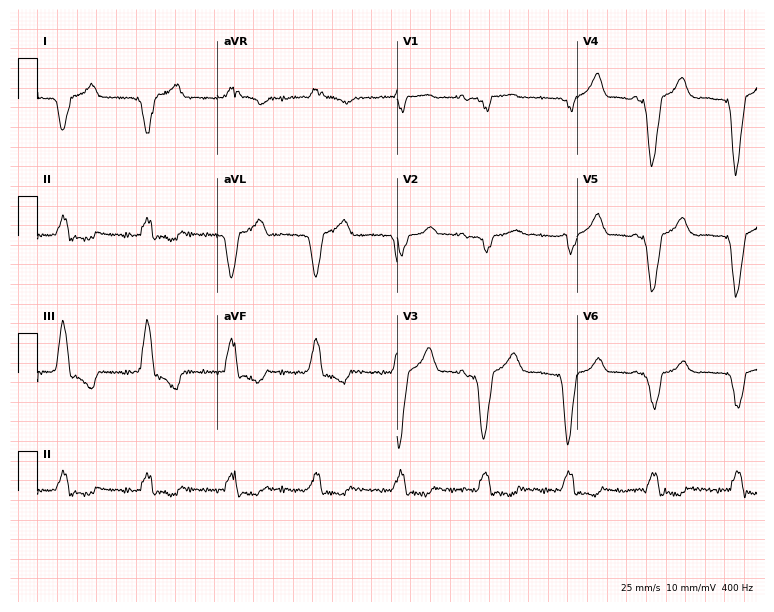
12-lead ECG from a 66-year-old man (7.3-second recording at 400 Hz). No first-degree AV block, right bundle branch block, left bundle branch block, sinus bradycardia, atrial fibrillation or sinus tachycardia recorded for this tracing.